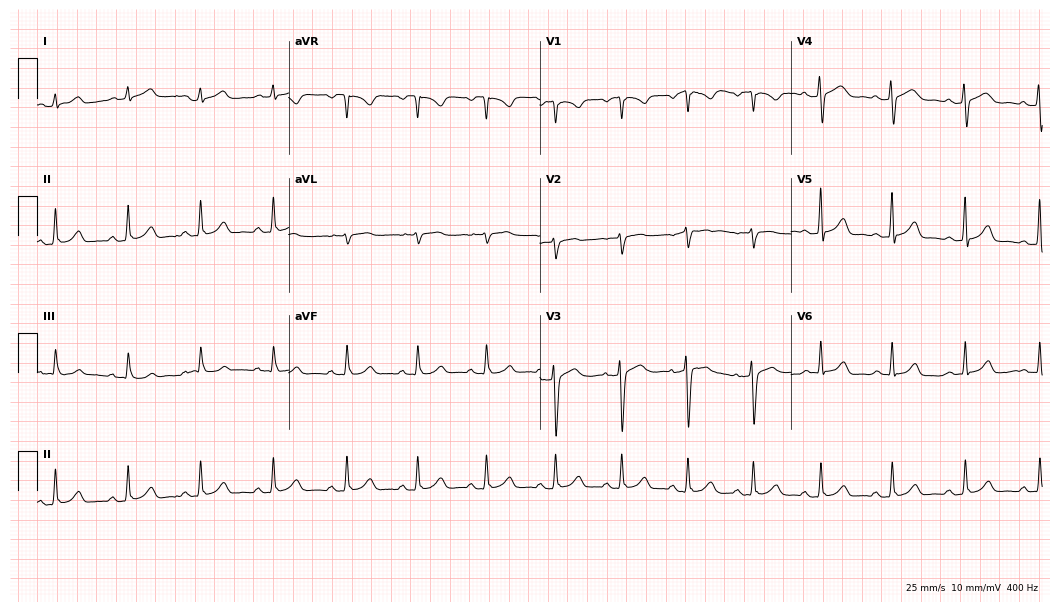
ECG — a female patient, 30 years old. Labelled as a normal ECG.